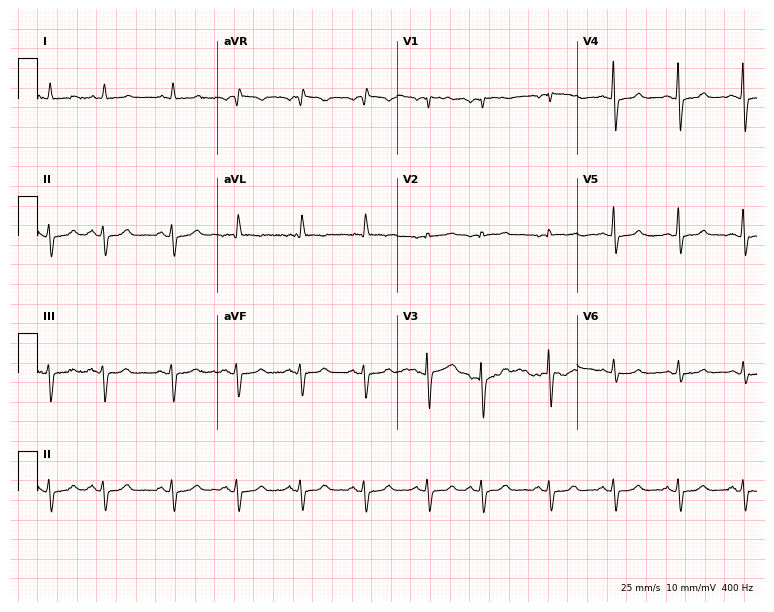
ECG — a woman, 71 years old. Screened for six findings — first-degree AV block, right bundle branch block (RBBB), left bundle branch block (LBBB), sinus bradycardia, atrial fibrillation (AF), sinus tachycardia — none is recorded. Findings outside these six are not listed.